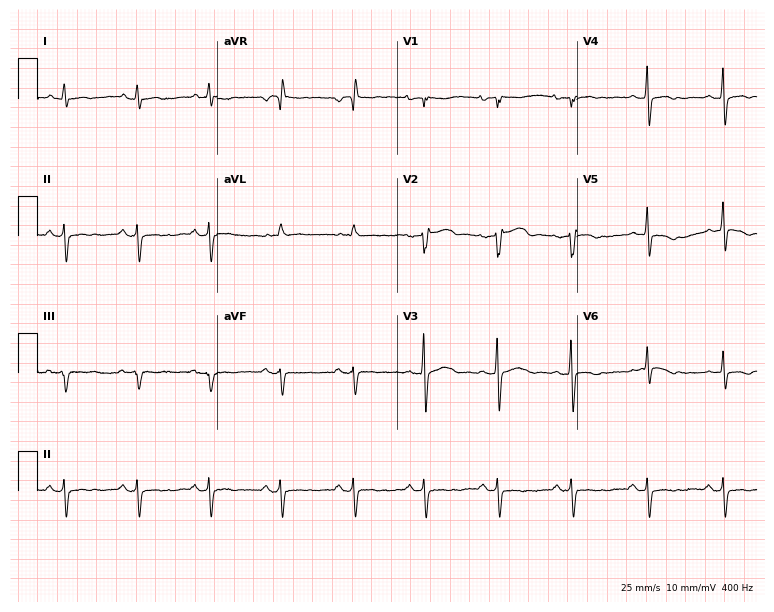
Resting 12-lead electrocardiogram (7.3-second recording at 400 Hz). Patient: a female, 37 years old. None of these six findings is recorded: first-degree AV block, right bundle branch block, left bundle branch block, sinus bradycardia, atrial fibrillation, sinus tachycardia. Only these six findings were labelled.